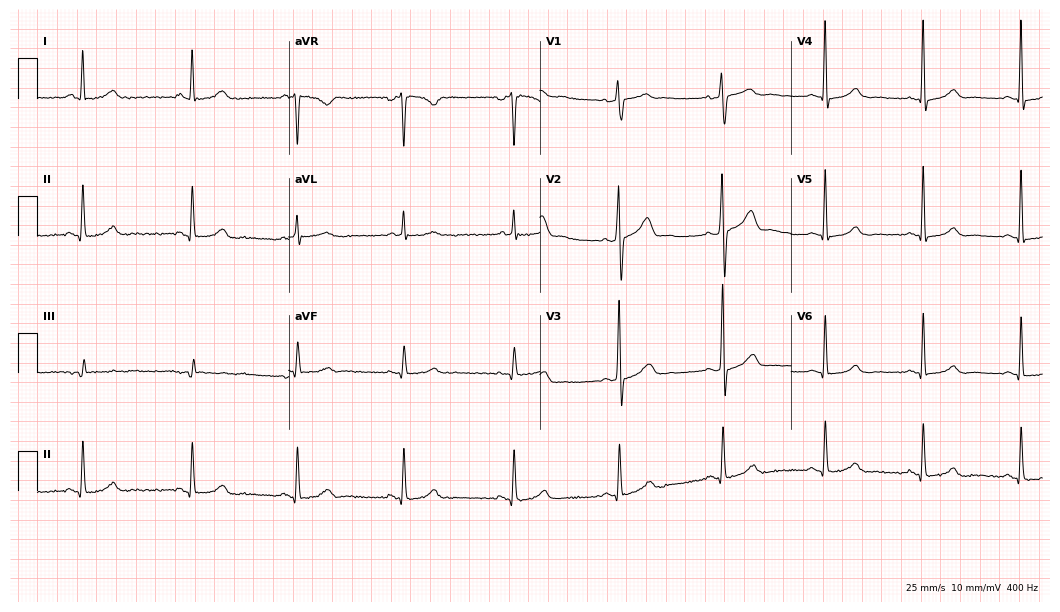
Resting 12-lead electrocardiogram (10.2-second recording at 400 Hz). Patient: a female, 43 years old. None of these six findings is recorded: first-degree AV block, right bundle branch block, left bundle branch block, sinus bradycardia, atrial fibrillation, sinus tachycardia. Findings outside these six are not listed.